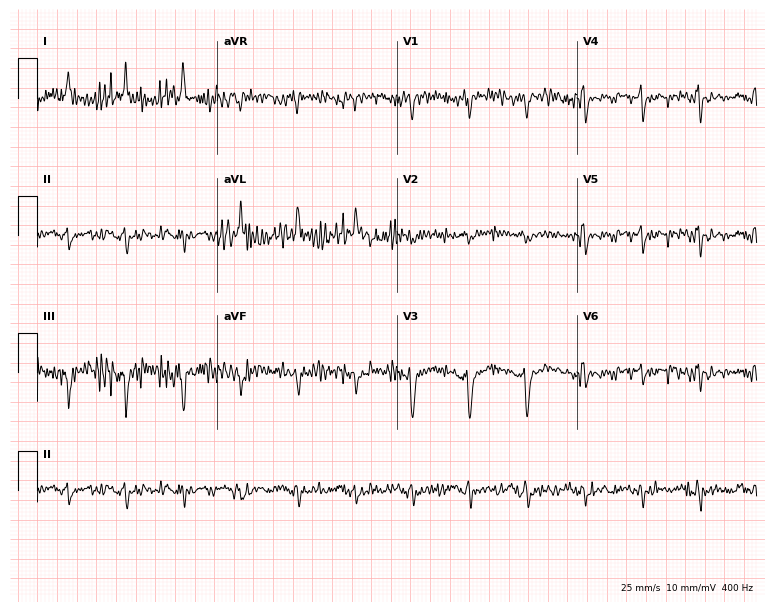
12-lead ECG from a woman, 82 years old (7.3-second recording at 400 Hz). No first-degree AV block, right bundle branch block, left bundle branch block, sinus bradycardia, atrial fibrillation or sinus tachycardia recorded for this tracing. Other findings, if any, are not listed.